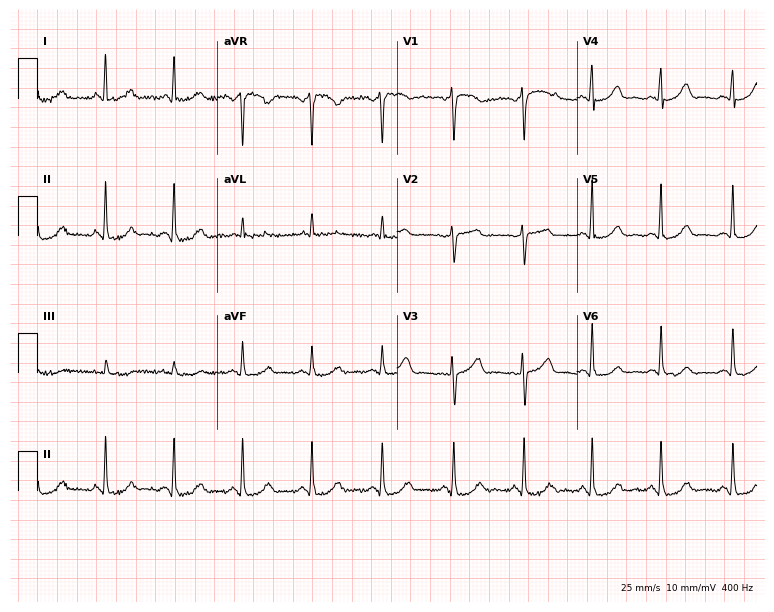
12-lead ECG (7.3-second recording at 400 Hz) from a 55-year-old female. Labelled as a normal ECG.